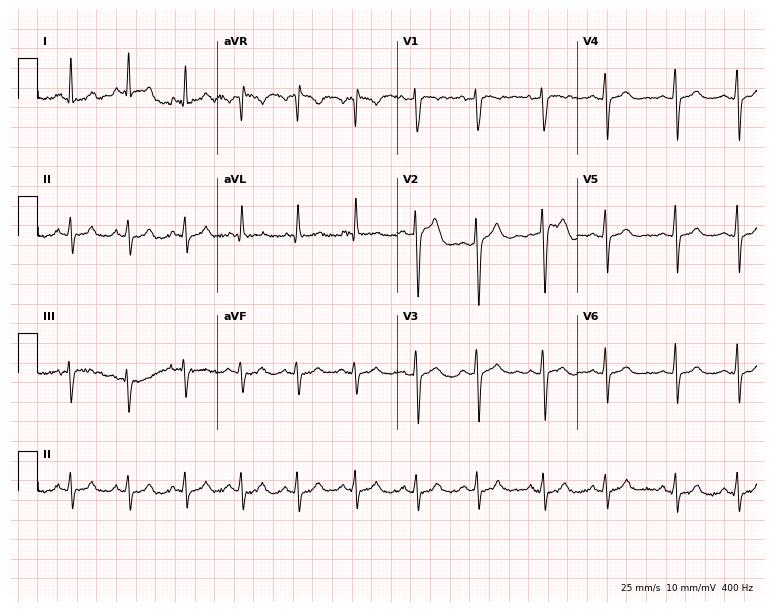
Standard 12-lead ECG recorded from a 26-year-old woman. None of these six findings is recorded: first-degree AV block, right bundle branch block (RBBB), left bundle branch block (LBBB), sinus bradycardia, atrial fibrillation (AF), sinus tachycardia. Findings outside these six are not listed.